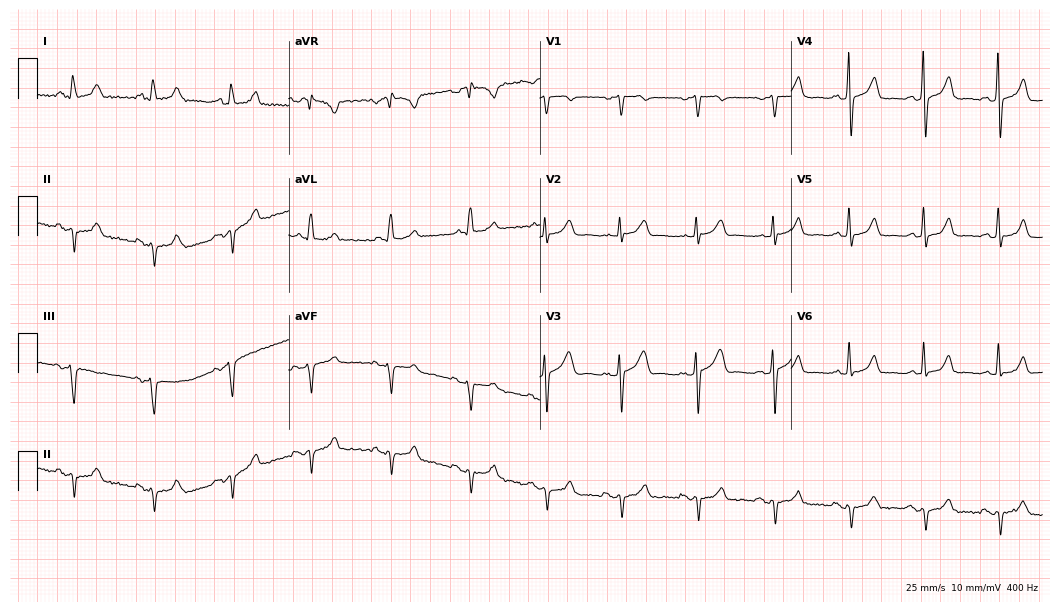
12-lead ECG from a 46-year-old male (10.2-second recording at 400 Hz). No first-degree AV block, right bundle branch block, left bundle branch block, sinus bradycardia, atrial fibrillation or sinus tachycardia recorded for this tracing. Other findings, if any, are not listed.